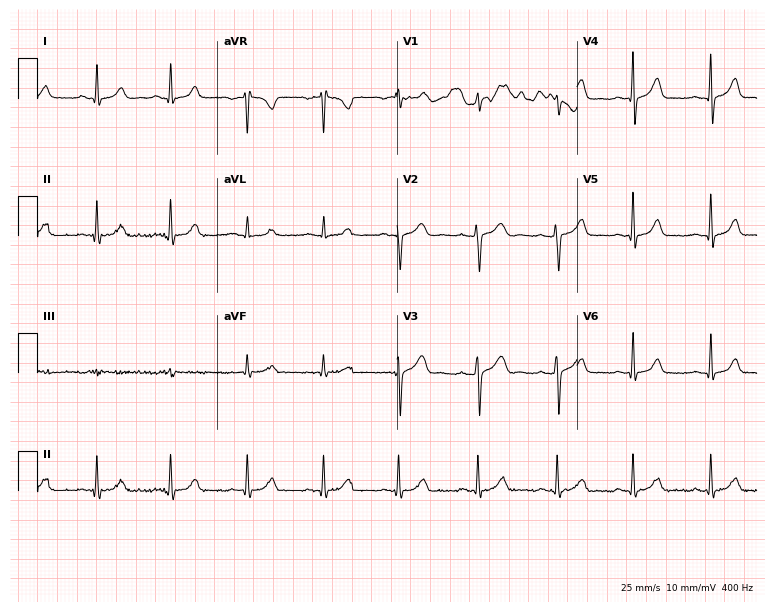
ECG (7.3-second recording at 400 Hz) — a female, 17 years old. Labelled as a normal ECG.